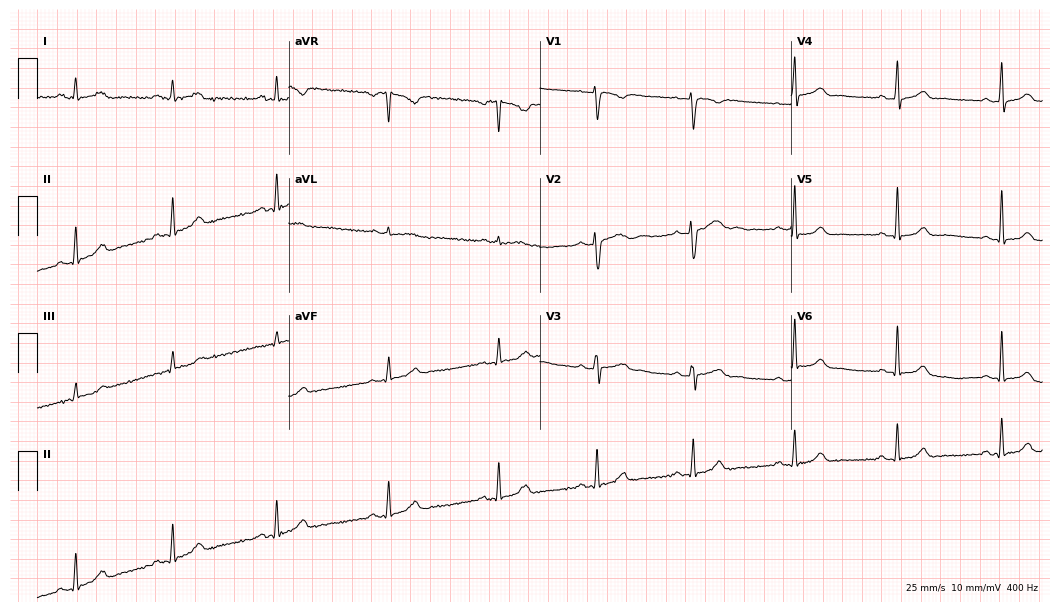
12-lead ECG from a 39-year-old woman. Labelled as a normal ECG.